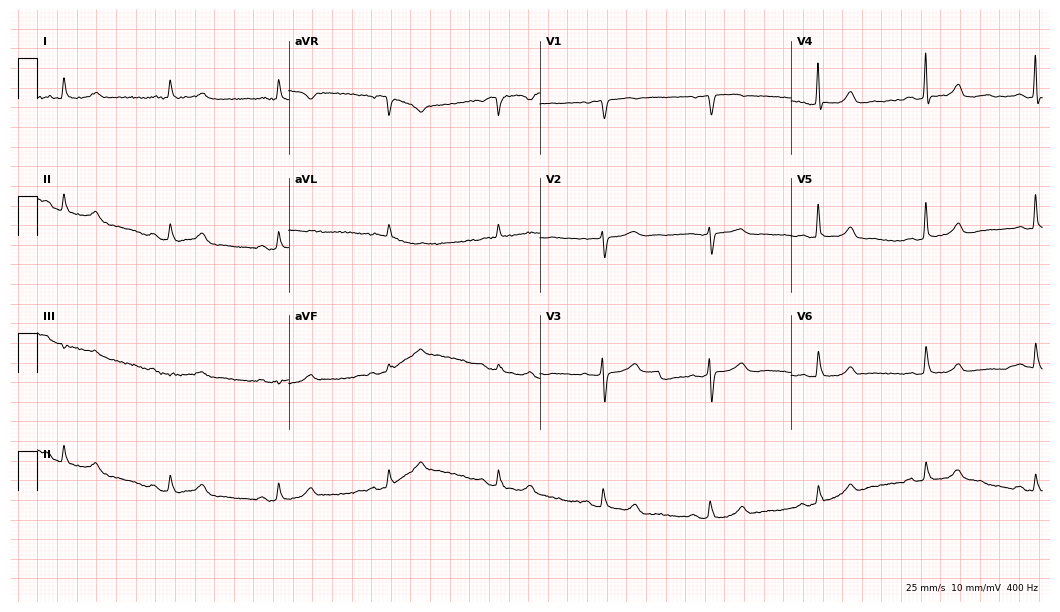
12-lead ECG from a female, 83 years old. Screened for six findings — first-degree AV block, right bundle branch block (RBBB), left bundle branch block (LBBB), sinus bradycardia, atrial fibrillation (AF), sinus tachycardia — none is recorded. Other findings, if any, are not listed.